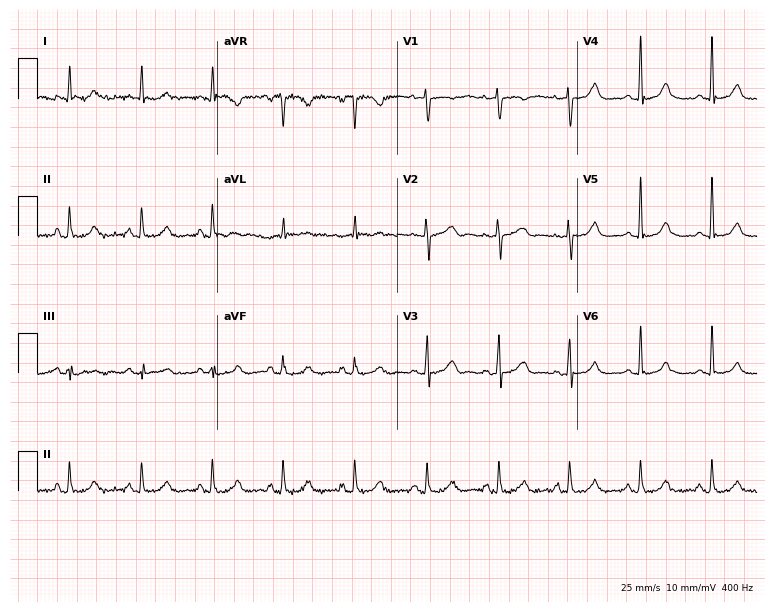
Electrocardiogram (7.3-second recording at 400 Hz), a woman, 80 years old. Of the six screened findings (first-degree AV block, right bundle branch block, left bundle branch block, sinus bradycardia, atrial fibrillation, sinus tachycardia), none is recorded. Findings outside these six are not listed.